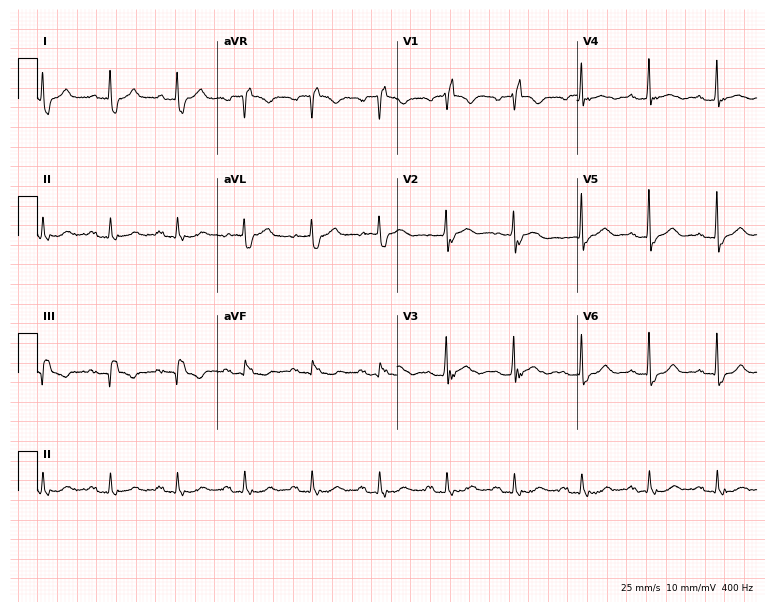
Resting 12-lead electrocardiogram. Patient: an 85-year-old woman. None of these six findings is recorded: first-degree AV block, right bundle branch block (RBBB), left bundle branch block (LBBB), sinus bradycardia, atrial fibrillation (AF), sinus tachycardia.